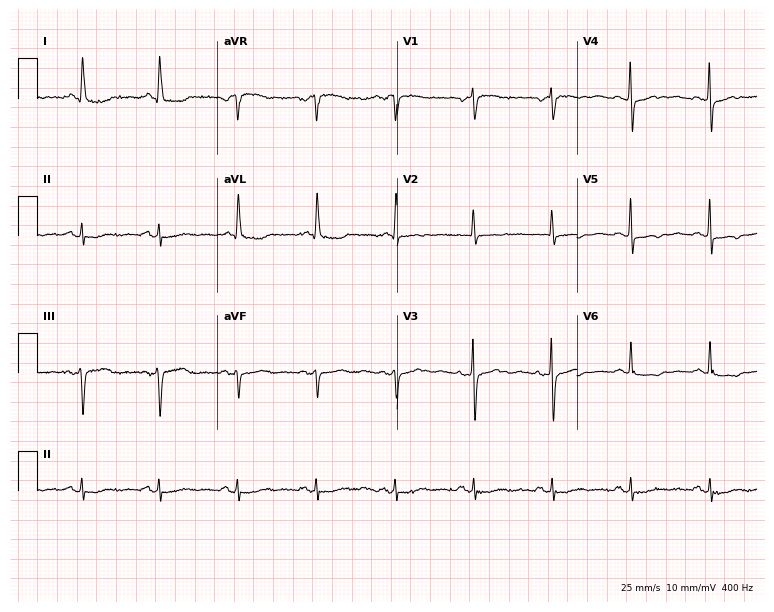
12-lead ECG from a 78-year-old female patient. Screened for six findings — first-degree AV block, right bundle branch block, left bundle branch block, sinus bradycardia, atrial fibrillation, sinus tachycardia — none is recorded.